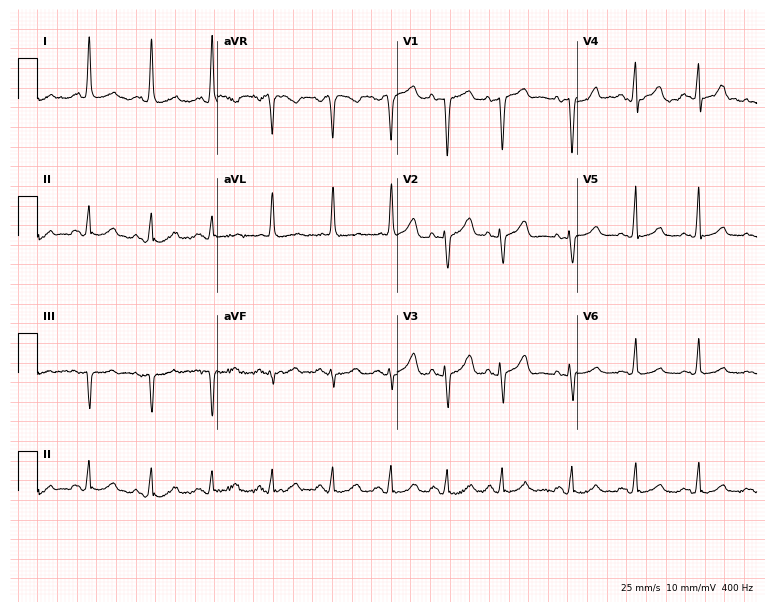
ECG (7.3-second recording at 400 Hz) — a 59-year-old woman. Labelled as a normal ECG.